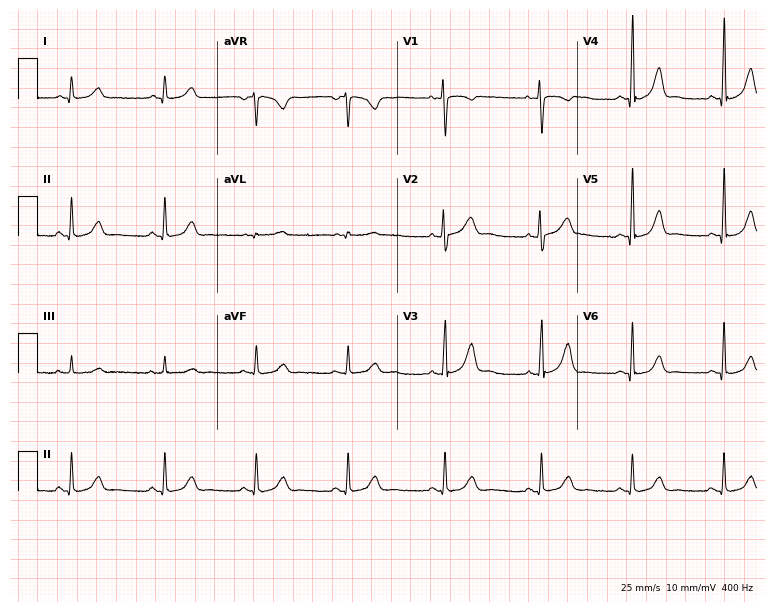
Resting 12-lead electrocardiogram (7.3-second recording at 400 Hz). Patient: a woman, 31 years old. Read as a normal ECG.